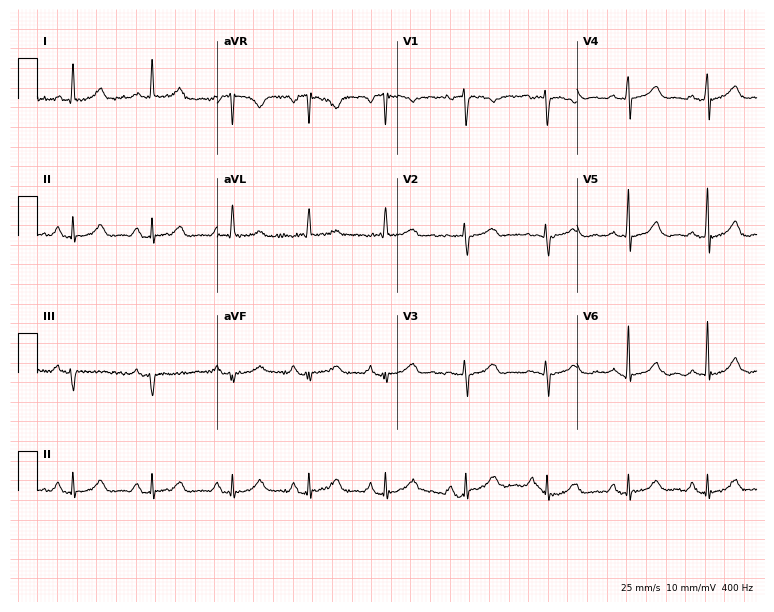
Electrocardiogram (7.3-second recording at 400 Hz), a 64-year-old woman. Of the six screened findings (first-degree AV block, right bundle branch block (RBBB), left bundle branch block (LBBB), sinus bradycardia, atrial fibrillation (AF), sinus tachycardia), none is recorded. Only these six findings were labelled.